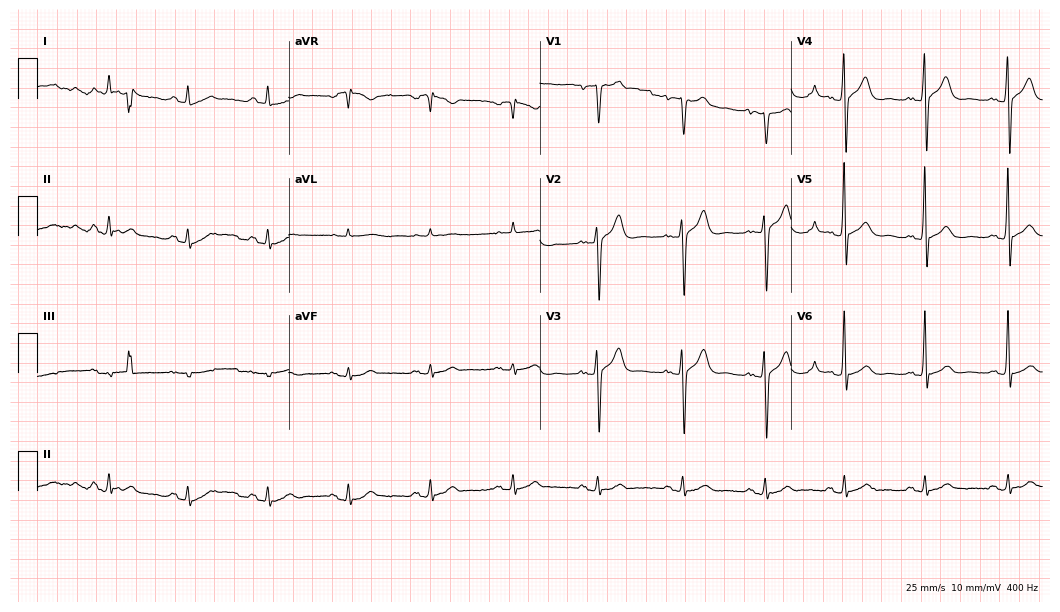
12-lead ECG (10.2-second recording at 400 Hz) from a 57-year-old female patient. Screened for six findings — first-degree AV block, right bundle branch block, left bundle branch block, sinus bradycardia, atrial fibrillation, sinus tachycardia — none is recorded.